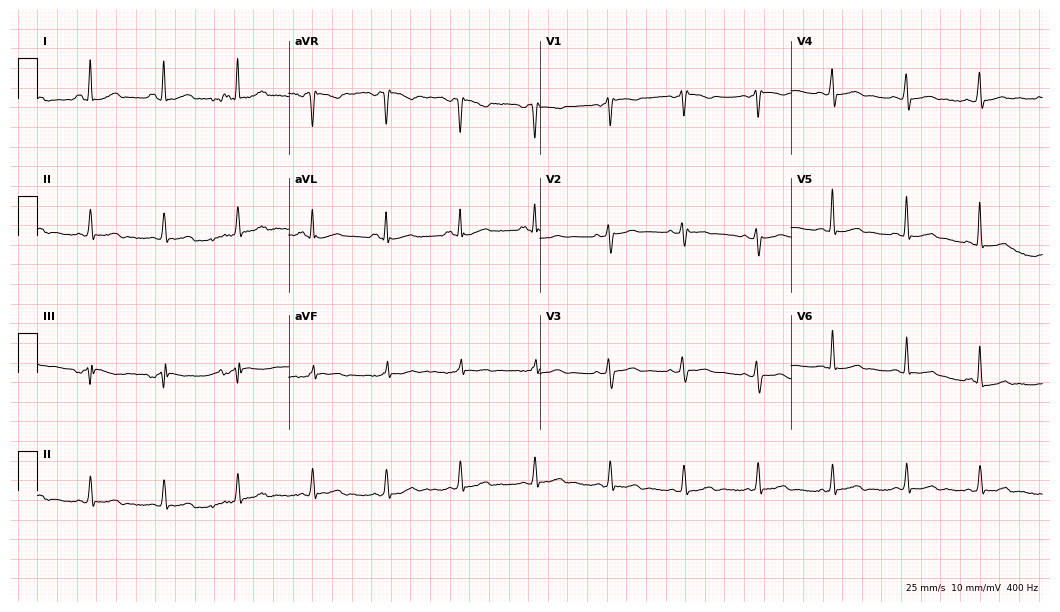
12-lead ECG from a 51-year-old female patient (10.2-second recording at 400 Hz). No first-degree AV block, right bundle branch block, left bundle branch block, sinus bradycardia, atrial fibrillation or sinus tachycardia recorded for this tracing.